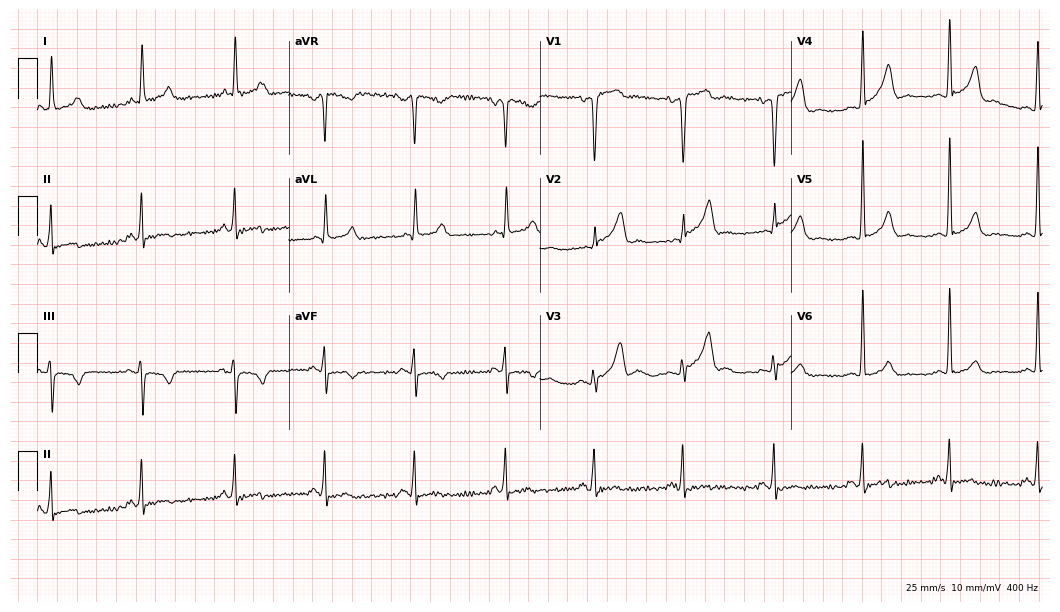
Resting 12-lead electrocardiogram (10.2-second recording at 400 Hz). Patient: a 74-year-old man. Read as a normal ECG.